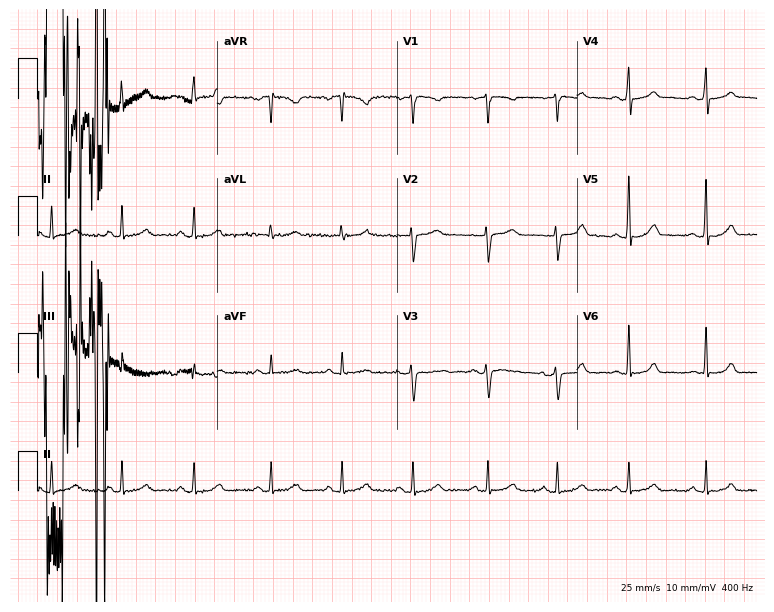
Electrocardiogram (7.3-second recording at 400 Hz), a woman, 42 years old. Of the six screened findings (first-degree AV block, right bundle branch block (RBBB), left bundle branch block (LBBB), sinus bradycardia, atrial fibrillation (AF), sinus tachycardia), none is recorded. Other findings, if any, are not listed.